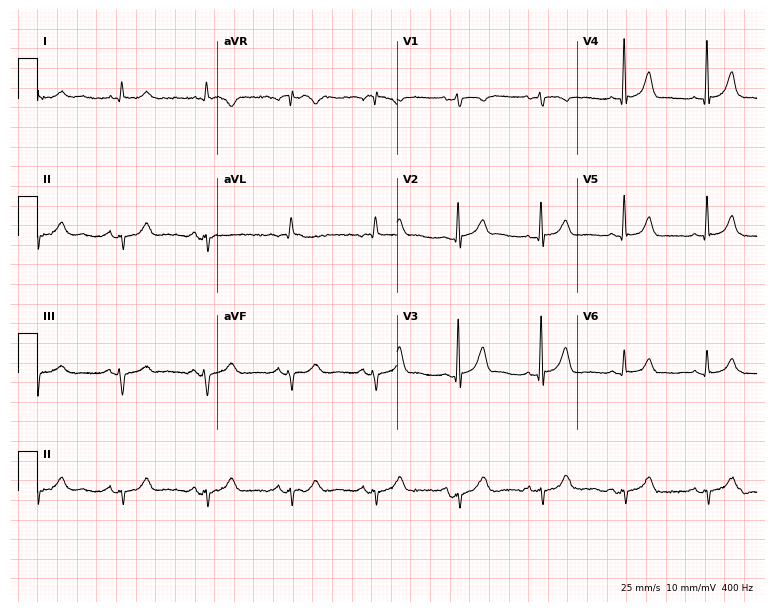
Resting 12-lead electrocardiogram (7.3-second recording at 400 Hz). Patient: an 85-year-old female. None of these six findings is recorded: first-degree AV block, right bundle branch block (RBBB), left bundle branch block (LBBB), sinus bradycardia, atrial fibrillation (AF), sinus tachycardia.